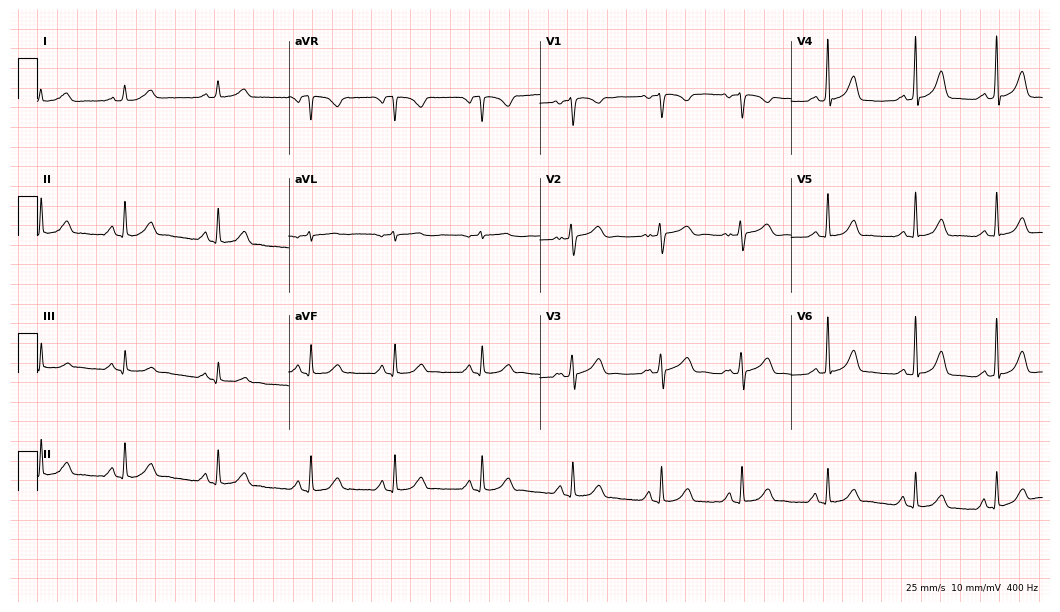
Standard 12-lead ECG recorded from a 45-year-old female patient (10.2-second recording at 400 Hz). Read as a normal ECG.